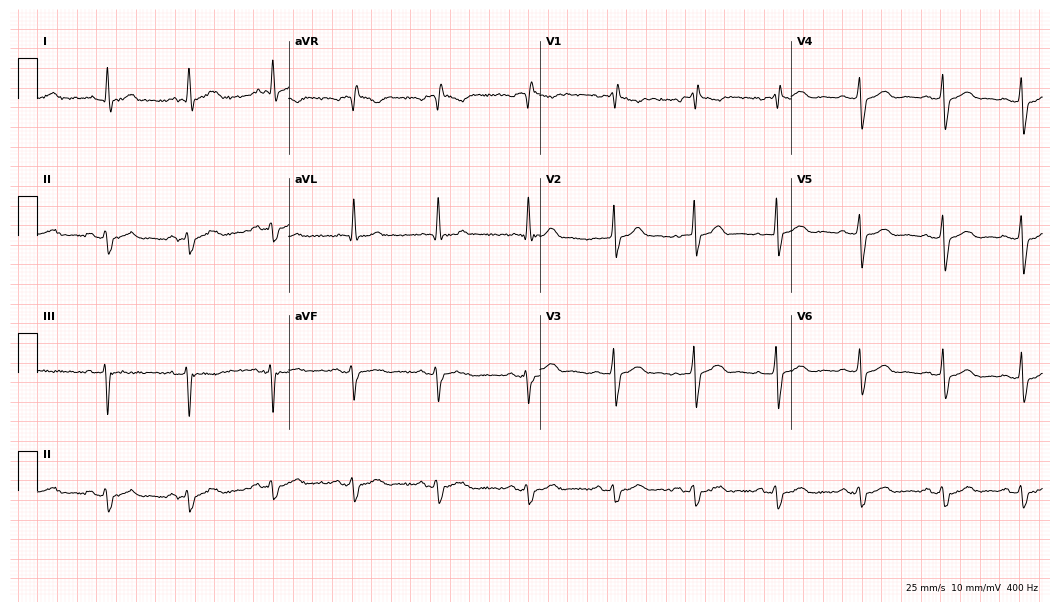
Standard 12-lead ECG recorded from a male, 65 years old (10.2-second recording at 400 Hz). The tracing shows right bundle branch block (RBBB).